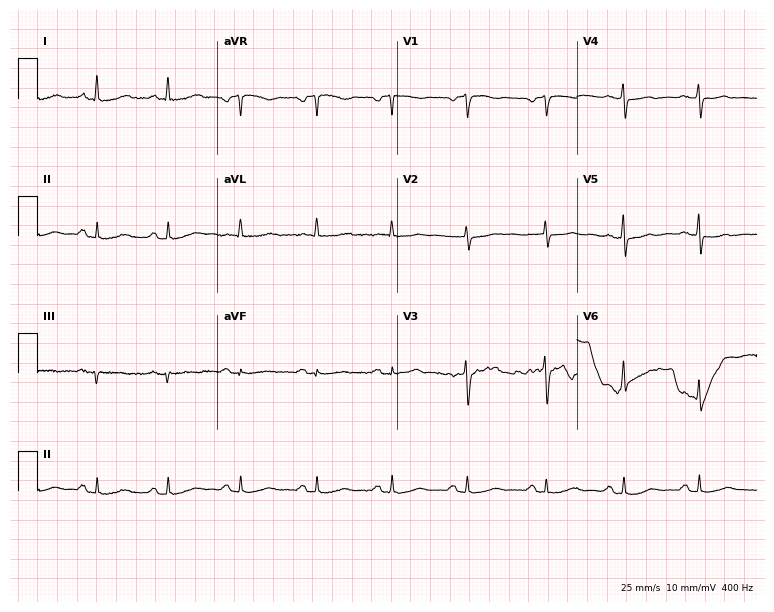
12-lead ECG from a 57-year-old female patient. No first-degree AV block, right bundle branch block (RBBB), left bundle branch block (LBBB), sinus bradycardia, atrial fibrillation (AF) or sinus tachycardia recorded for this tracing.